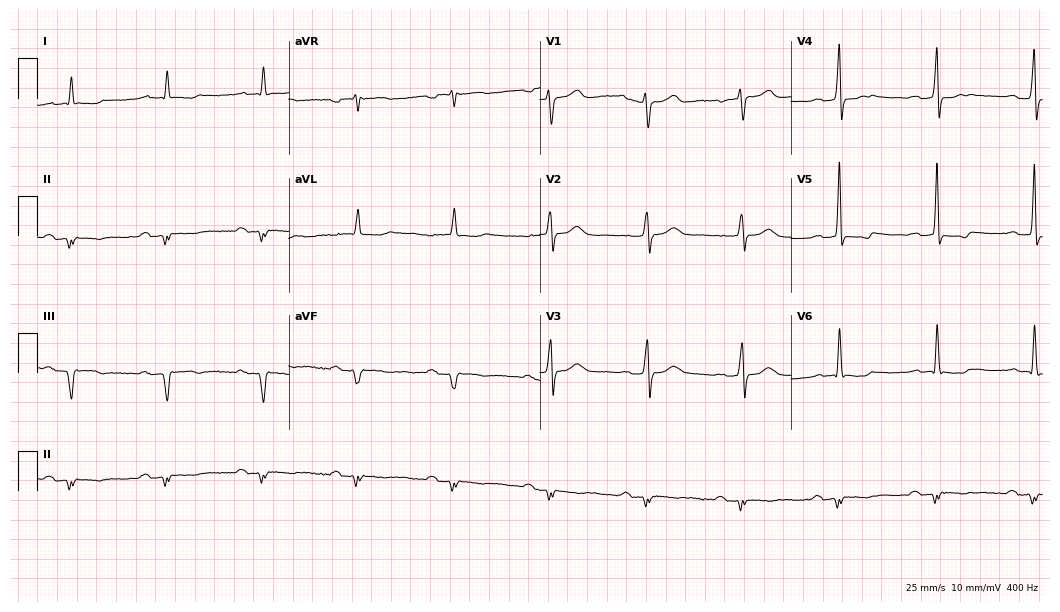
Electrocardiogram (10.2-second recording at 400 Hz), a 65-year-old man. Interpretation includes first-degree AV block.